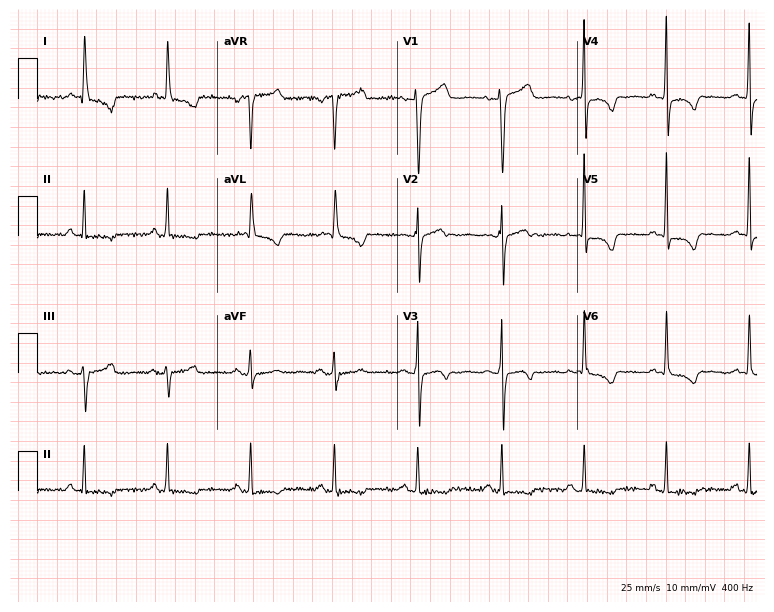
12-lead ECG (7.3-second recording at 400 Hz) from a 78-year-old woman. Screened for six findings — first-degree AV block, right bundle branch block (RBBB), left bundle branch block (LBBB), sinus bradycardia, atrial fibrillation (AF), sinus tachycardia — none is recorded.